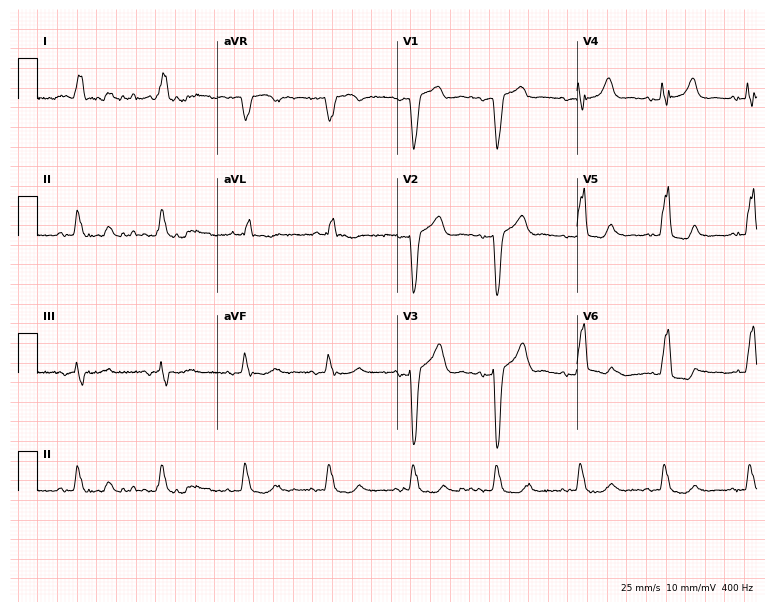
12-lead ECG from a male patient, 83 years old (7.3-second recording at 400 Hz). Shows left bundle branch block (LBBB).